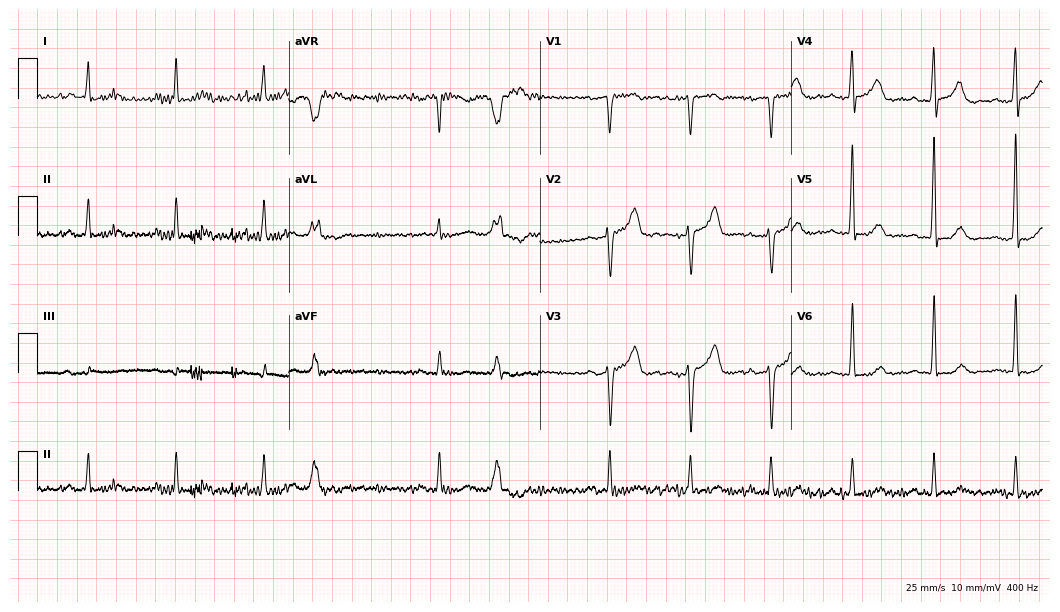
ECG (10.2-second recording at 400 Hz) — a man, 65 years old. Screened for six findings — first-degree AV block, right bundle branch block (RBBB), left bundle branch block (LBBB), sinus bradycardia, atrial fibrillation (AF), sinus tachycardia — none is recorded. Other findings, if any, are not listed.